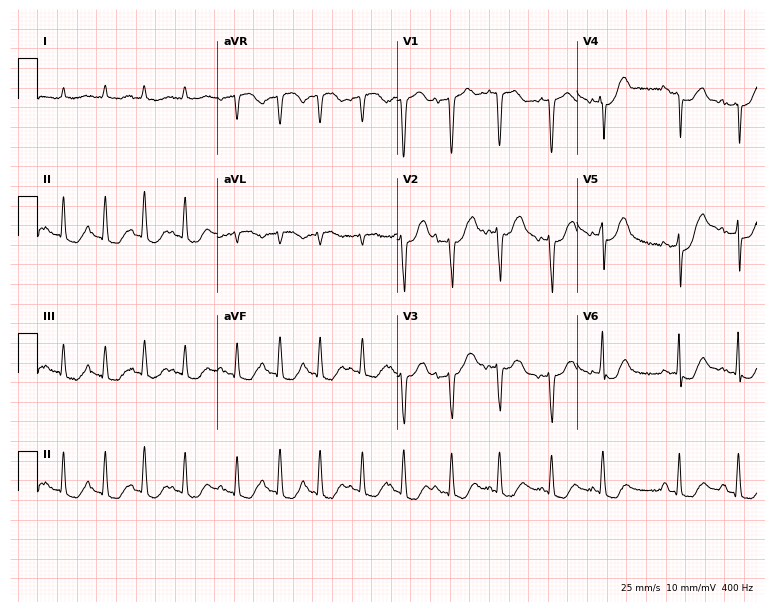
Standard 12-lead ECG recorded from a man, 85 years old. The tracing shows atrial fibrillation (AF).